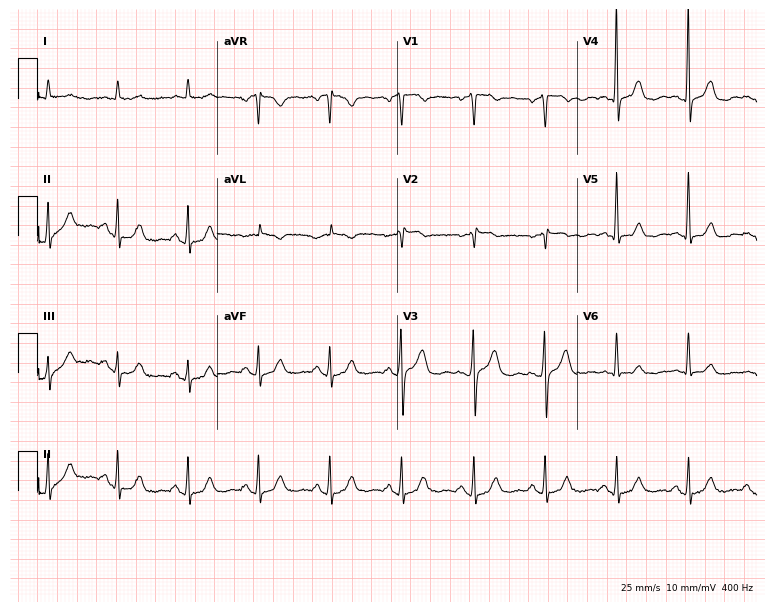
Resting 12-lead electrocardiogram. Patient: a male, 67 years old. Read as a normal ECG.